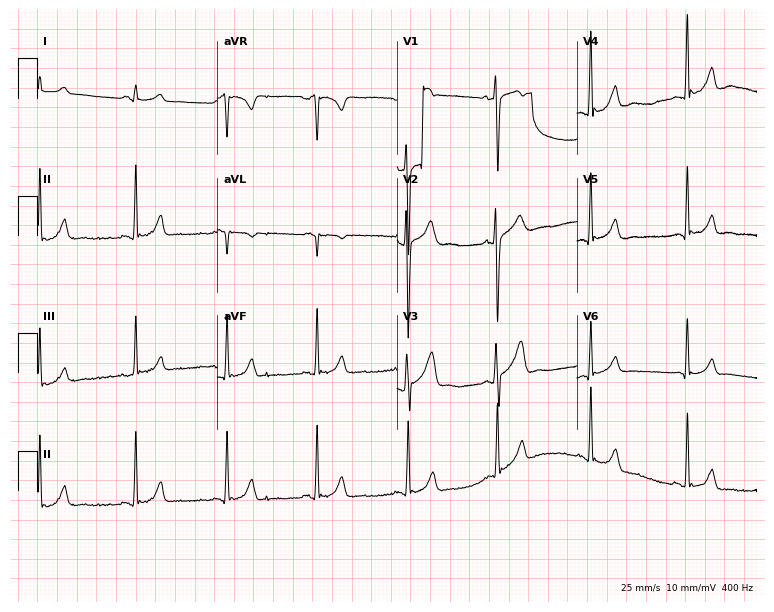
12-lead ECG from a male patient, 19 years old. Labelled as a normal ECG.